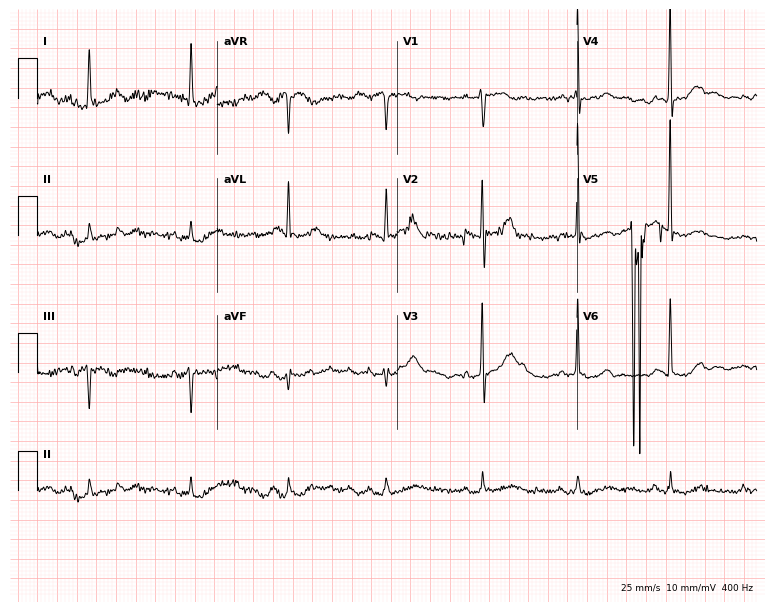
Resting 12-lead electrocardiogram. Patient: an 81-year-old male. The tracing shows atrial fibrillation.